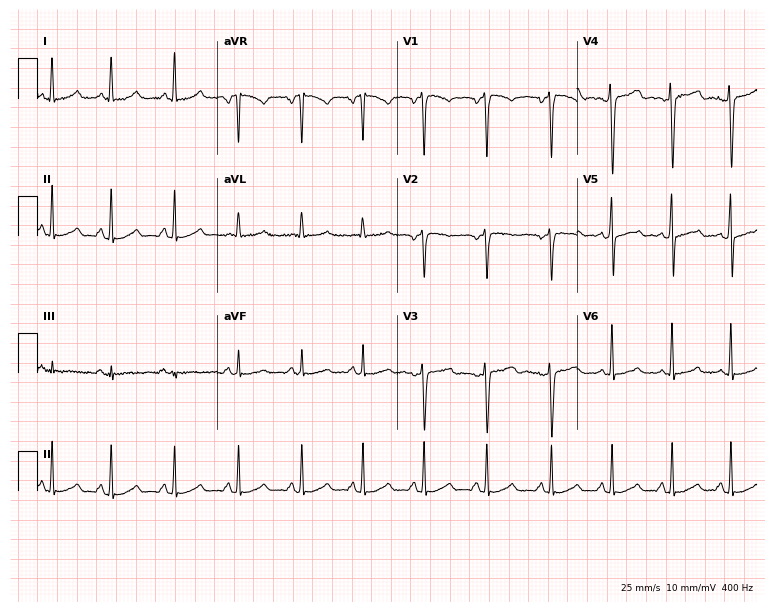
Electrocardiogram, a 27-year-old female patient. Overall reading on record: normal ECG.